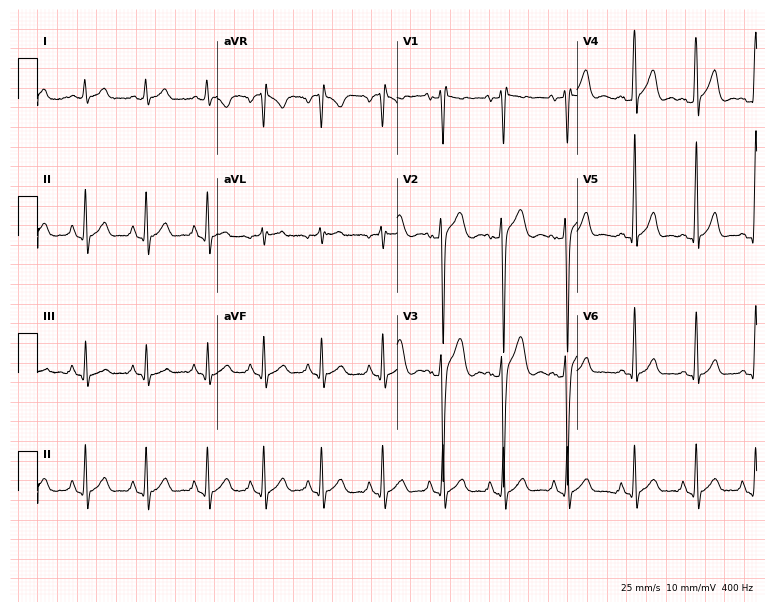
Standard 12-lead ECG recorded from a male, 22 years old (7.3-second recording at 400 Hz). None of these six findings is recorded: first-degree AV block, right bundle branch block (RBBB), left bundle branch block (LBBB), sinus bradycardia, atrial fibrillation (AF), sinus tachycardia. Other findings, if any, are not listed.